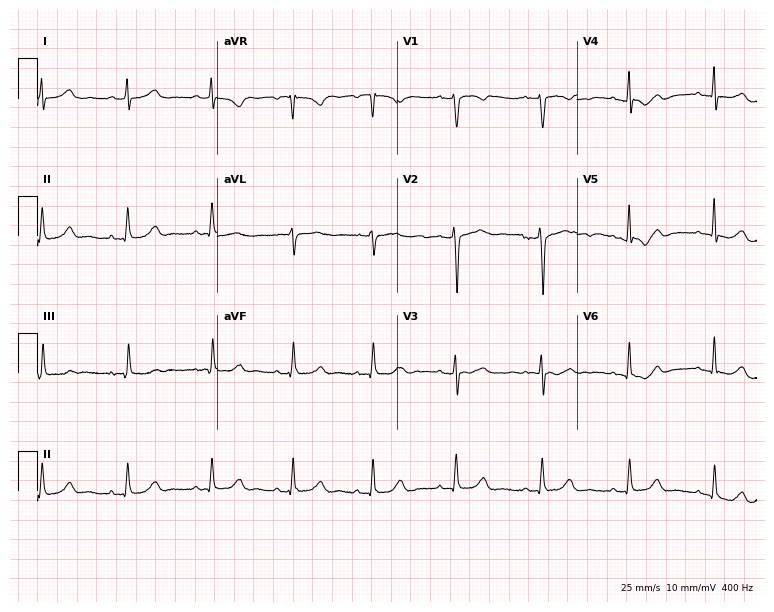
12-lead ECG (7.3-second recording at 400 Hz) from a female patient, 41 years old. Labelled as a normal ECG.